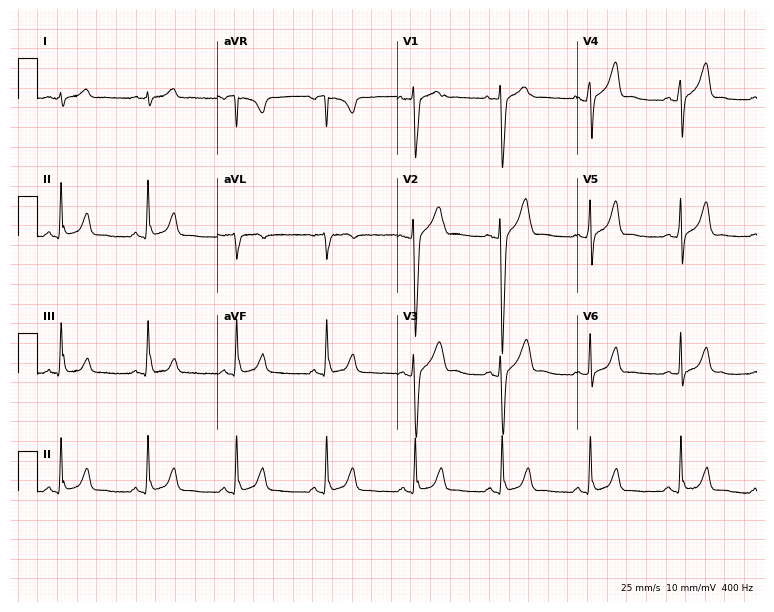
Electrocardiogram (7.3-second recording at 400 Hz), a male patient, 22 years old. Of the six screened findings (first-degree AV block, right bundle branch block, left bundle branch block, sinus bradycardia, atrial fibrillation, sinus tachycardia), none is recorded. Other findings, if any, are not listed.